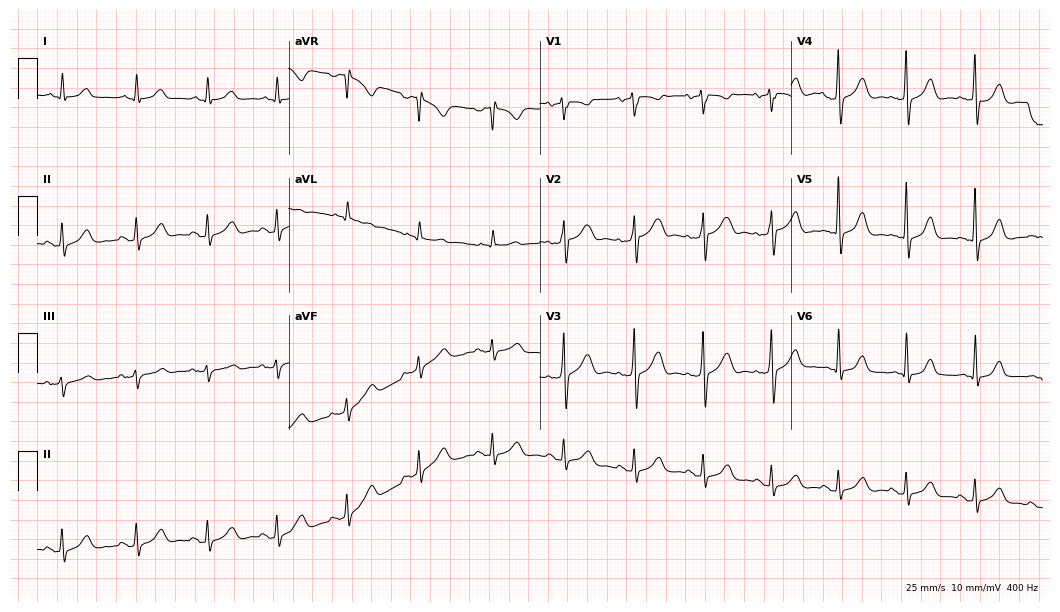
Resting 12-lead electrocardiogram (10.2-second recording at 400 Hz). Patient: a 54-year-old man. Read as a normal ECG.